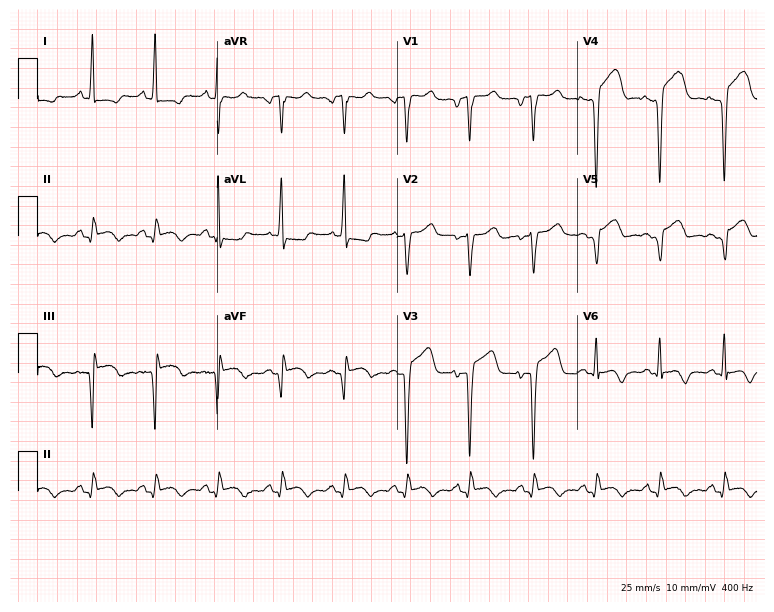
12-lead ECG (7.3-second recording at 400 Hz) from a male patient, 56 years old. Screened for six findings — first-degree AV block, right bundle branch block (RBBB), left bundle branch block (LBBB), sinus bradycardia, atrial fibrillation (AF), sinus tachycardia — none is recorded. Other findings, if any, are not listed.